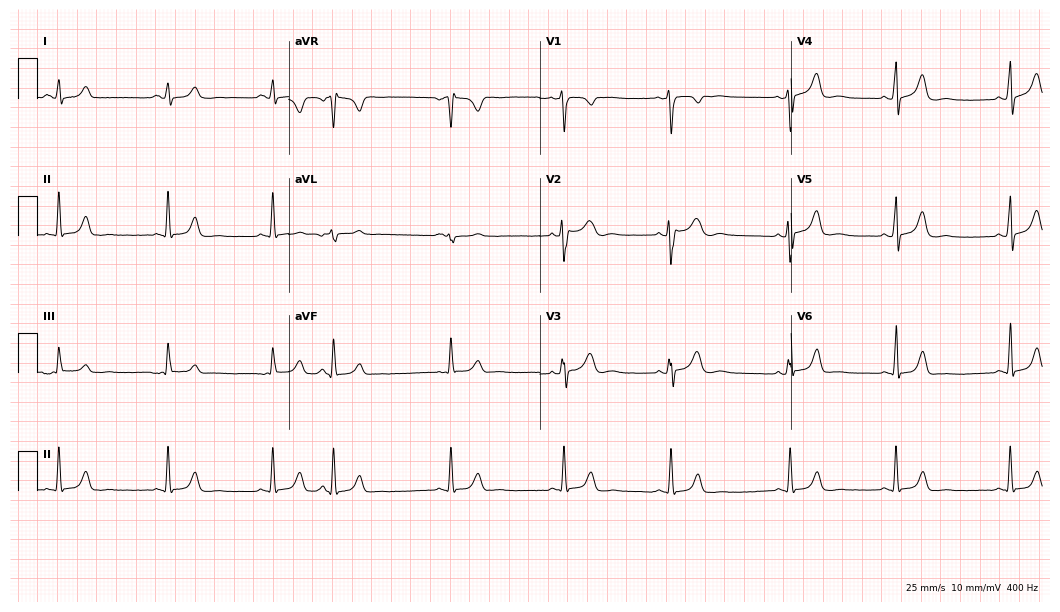
12-lead ECG (10.2-second recording at 400 Hz) from a female patient, 21 years old. Labelled as a normal ECG.